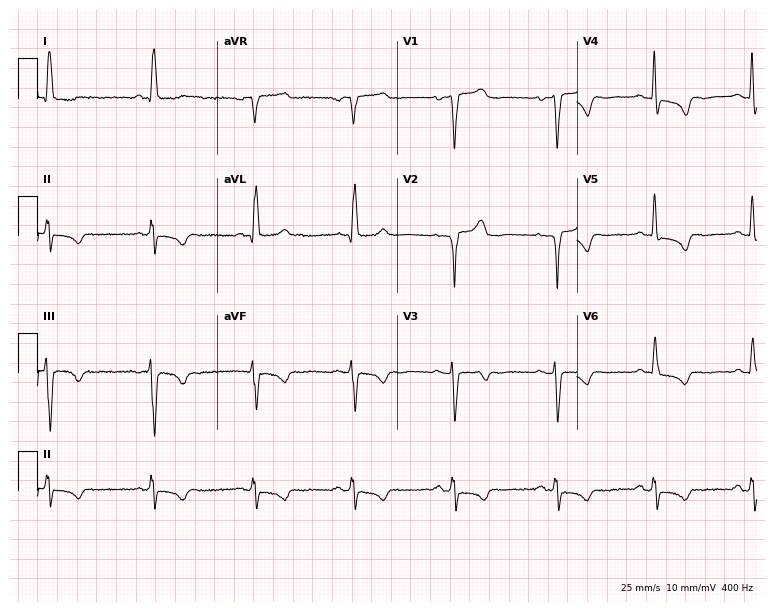
Resting 12-lead electrocardiogram (7.3-second recording at 400 Hz). Patient: a female, 64 years old. None of these six findings is recorded: first-degree AV block, right bundle branch block, left bundle branch block, sinus bradycardia, atrial fibrillation, sinus tachycardia. Only these six findings were labelled.